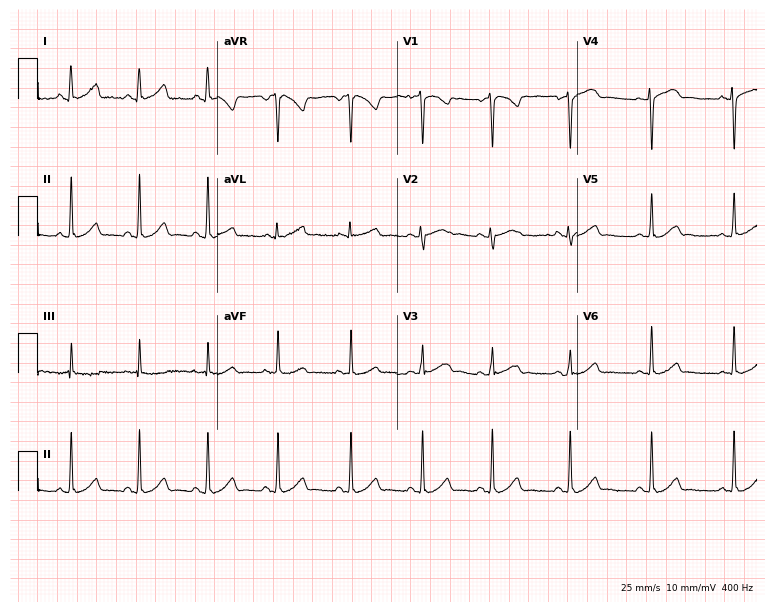
12-lead ECG (7.3-second recording at 400 Hz) from a female, 24 years old. Labelled as a normal ECG.